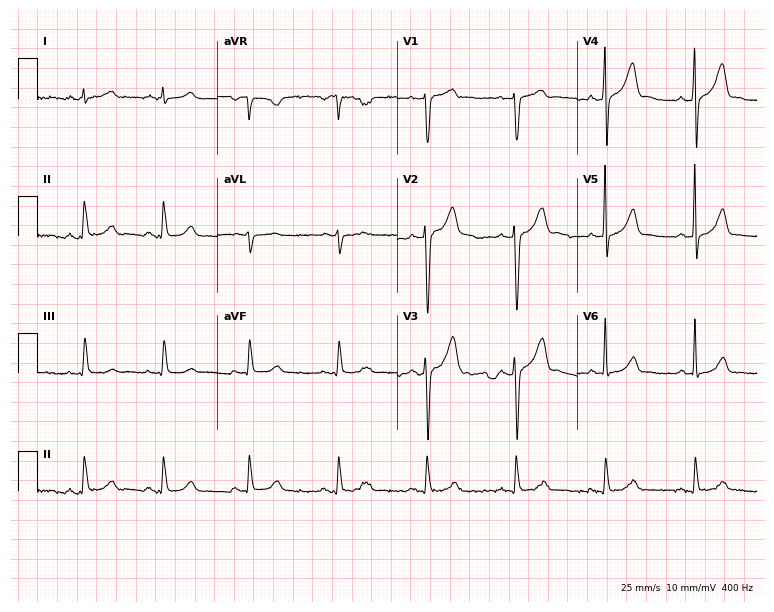
12-lead ECG (7.3-second recording at 400 Hz) from a 41-year-old male. Screened for six findings — first-degree AV block, right bundle branch block, left bundle branch block, sinus bradycardia, atrial fibrillation, sinus tachycardia — none is recorded.